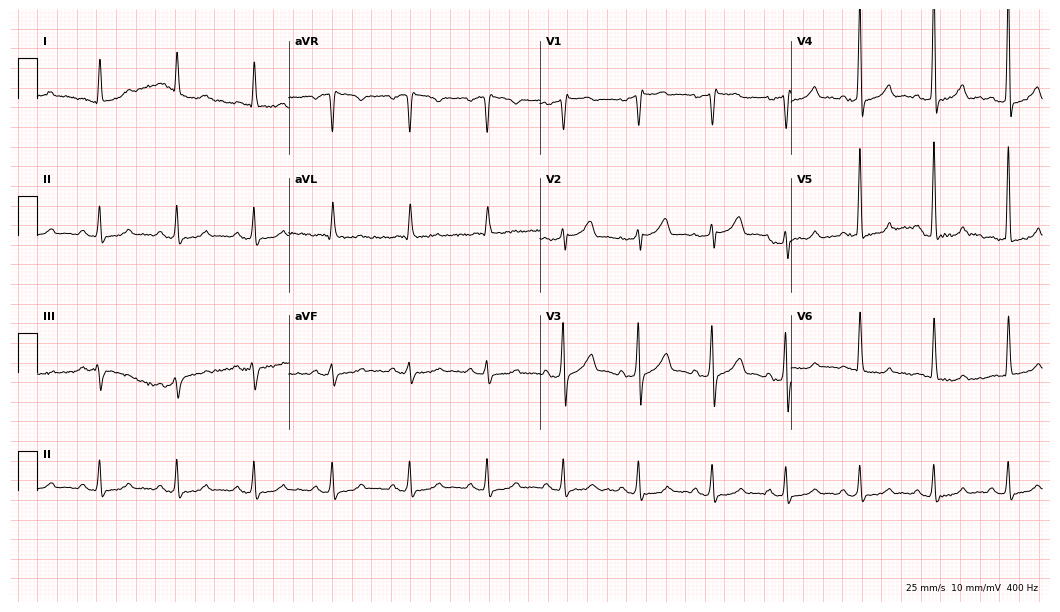
Electrocardiogram (10.2-second recording at 400 Hz), an 83-year-old male. Of the six screened findings (first-degree AV block, right bundle branch block (RBBB), left bundle branch block (LBBB), sinus bradycardia, atrial fibrillation (AF), sinus tachycardia), none is recorded. Other findings, if any, are not listed.